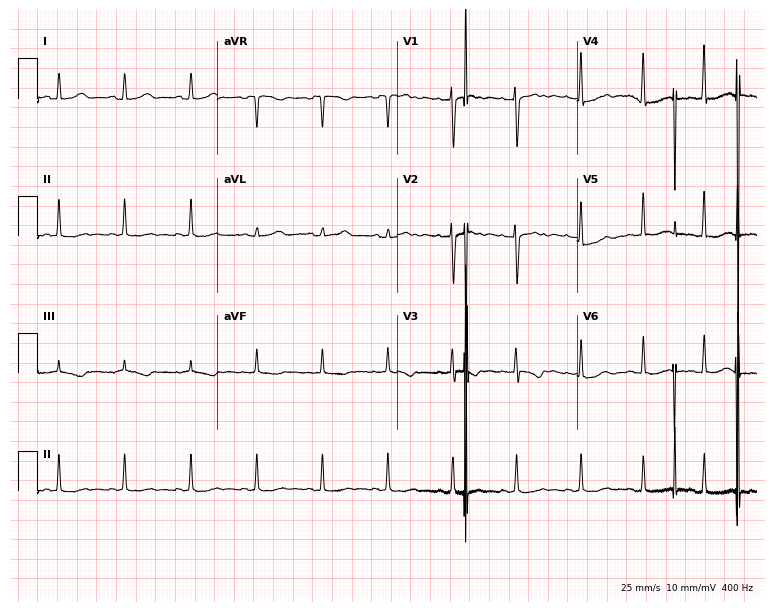
12-lead ECG from a 19-year-old woman. Screened for six findings — first-degree AV block, right bundle branch block, left bundle branch block, sinus bradycardia, atrial fibrillation, sinus tachycardia — none is recorded. Findings outside these six are not listed.